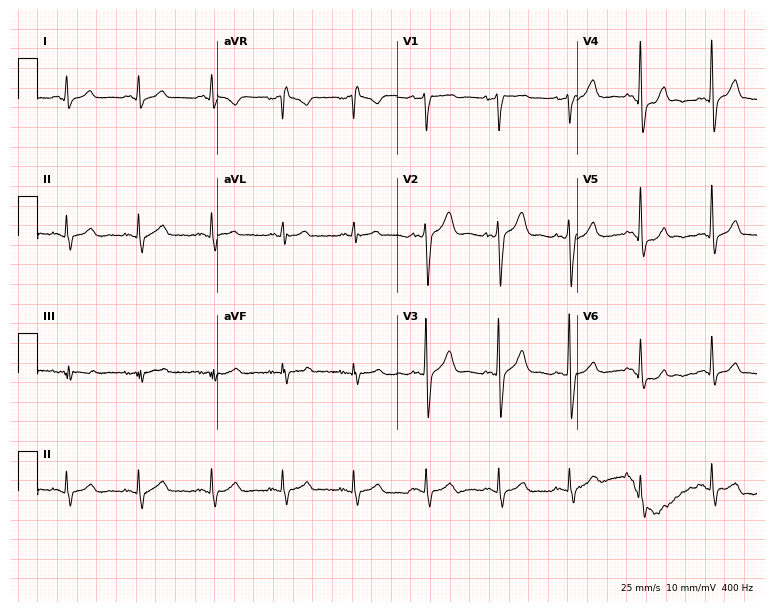
12-lead ECG from a 48-year-old male patient. Recorded interpretation: within normal limits.